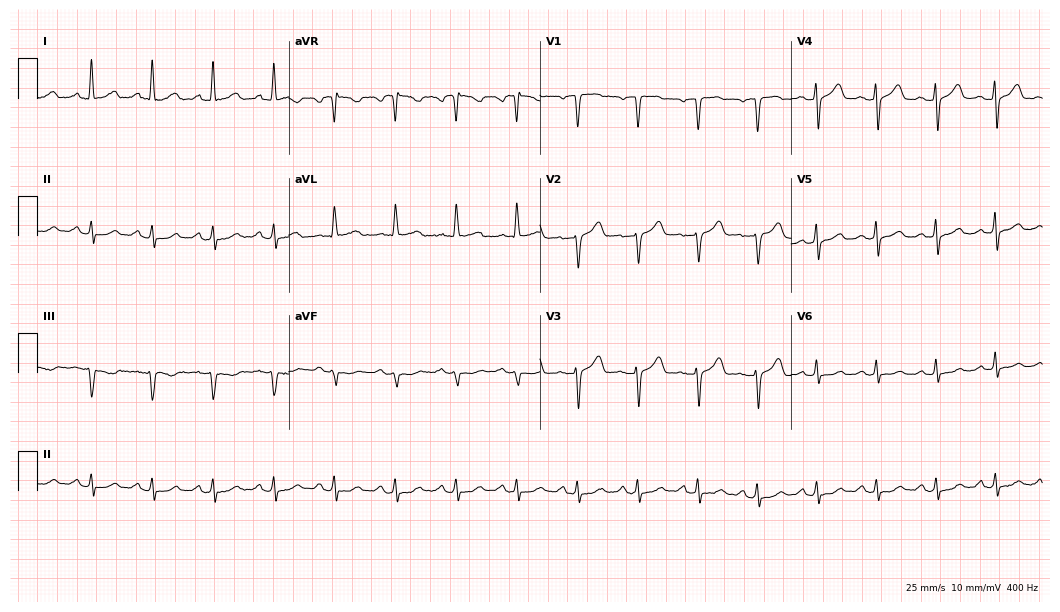
12-lead ECG from a 67-year-old female patient. Recorded interpretation: within normal limits.